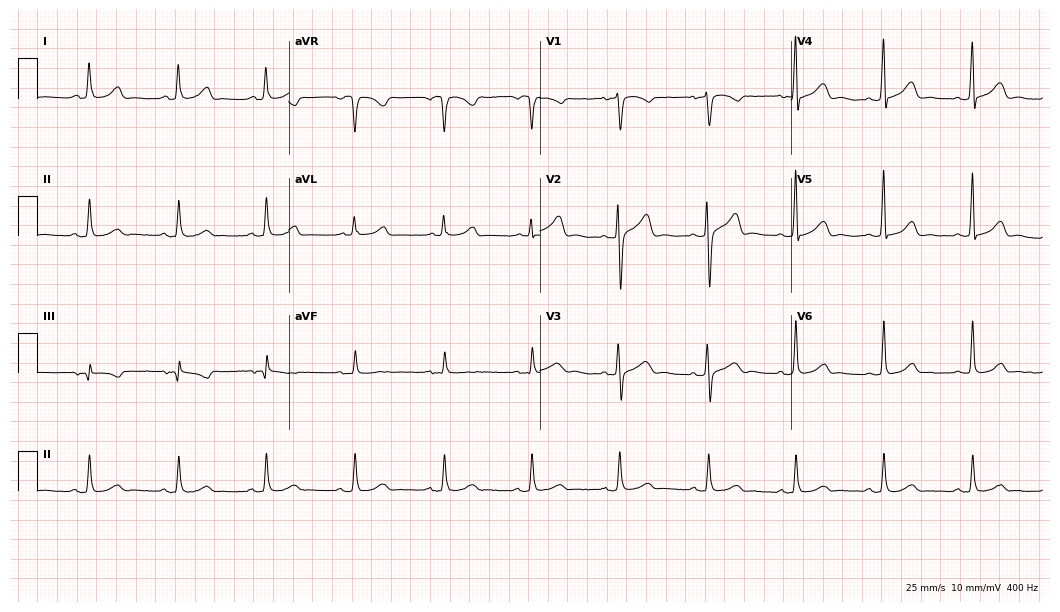
ECG — a woman, 48 years old. Labelled as a normal ECG.